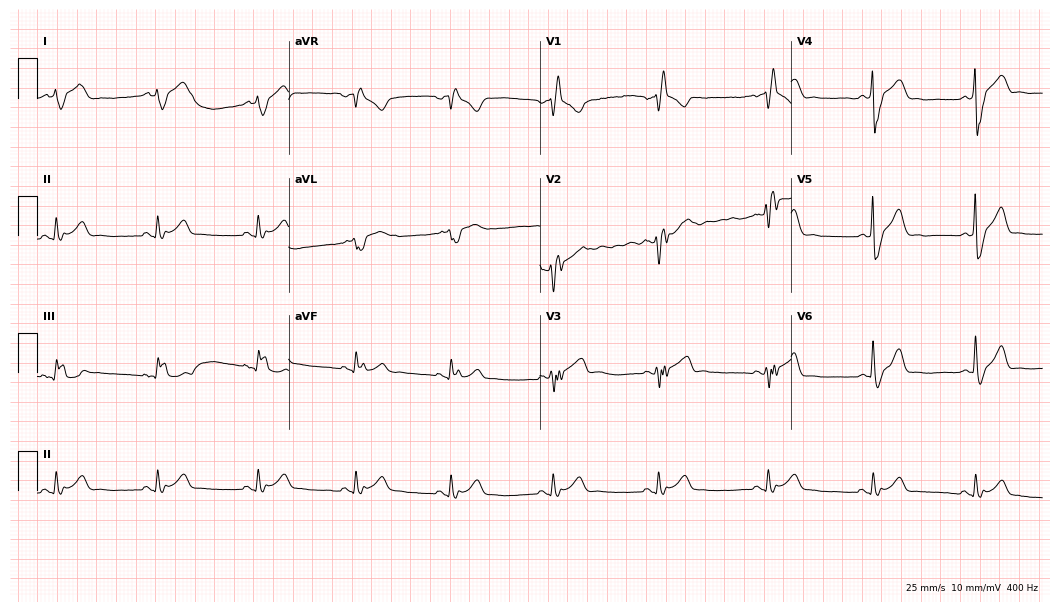
Electrocardiogram (10.2-second recording at 400 Hz), a 39-year-old male patient. Interpretation includes right bundle branch block (RBBB).